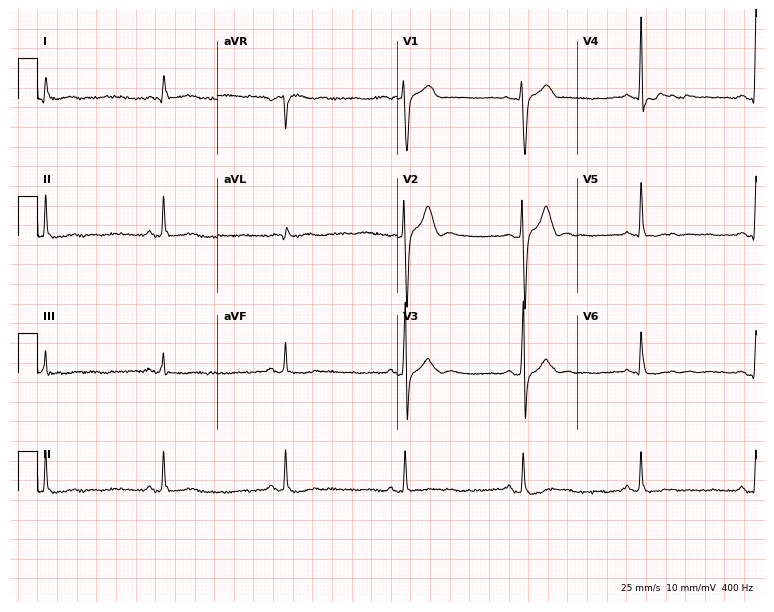
ECG — a 61-year-old male patient. Findings include sinus bradycardia (a sinus rate of 50 beats per minute or less).